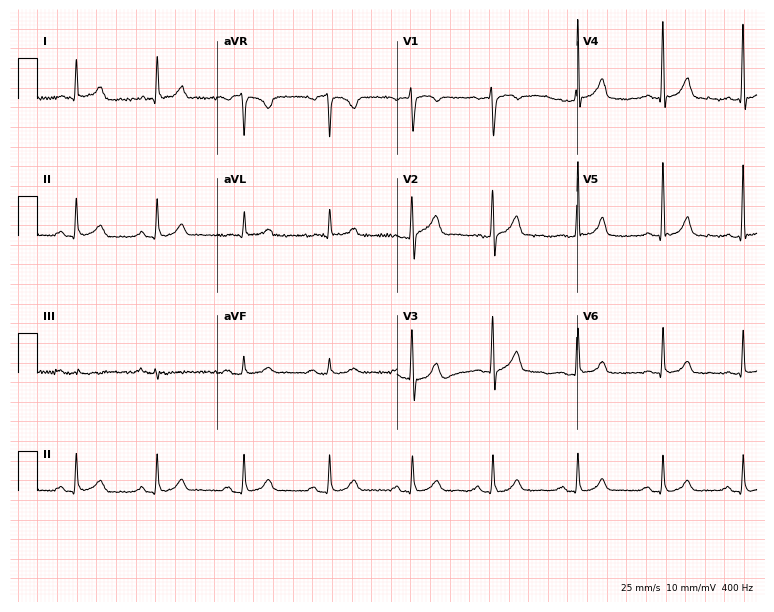
Standard 12-lead ECG recorded from a man, 67 years old (7.3-second recording at 400 Hz). None of these six findings is recorded: first-degree AV block, right bundle branch block, left bundle branch block, sinus bradycardia, atrial fibrillation, sinus tachycardia. Other findings, if any, are not listed.